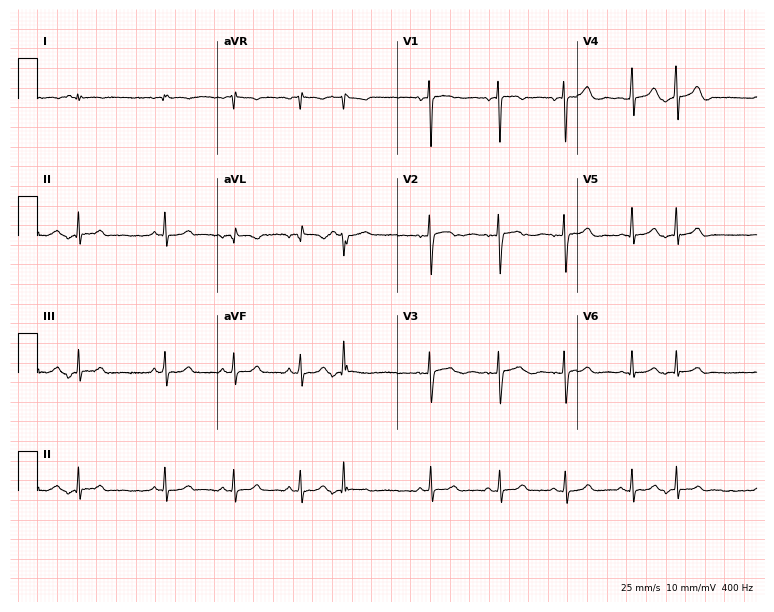
ECG — a female, 20 years old. Screened for six findings — first-degree AV block, right bundle branch block, left bundle branch block, sinus bradycardia, atrial fibrillation, sinus tachycardia — none is recorded.